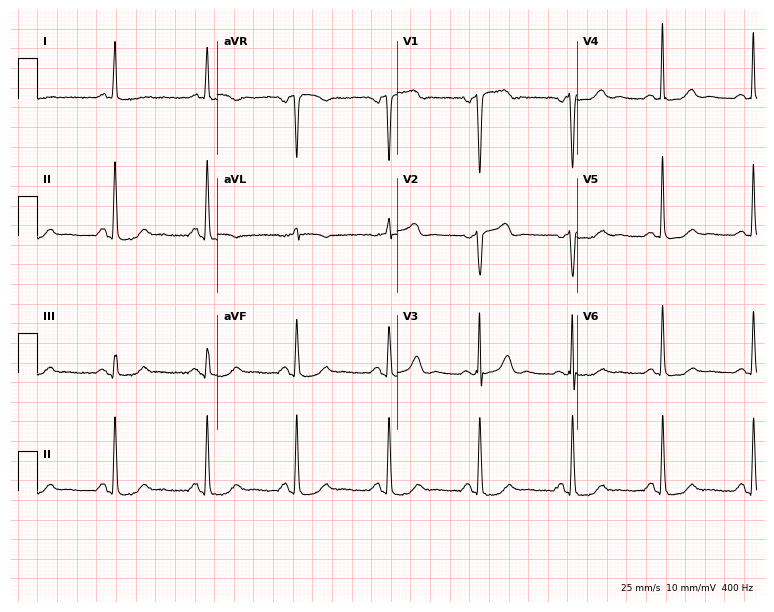
Resting 12-lead electrocardiogram (7.3-second recording at 400 Hz). Patient: a 75-year-old woman. Read as a normal ECG.